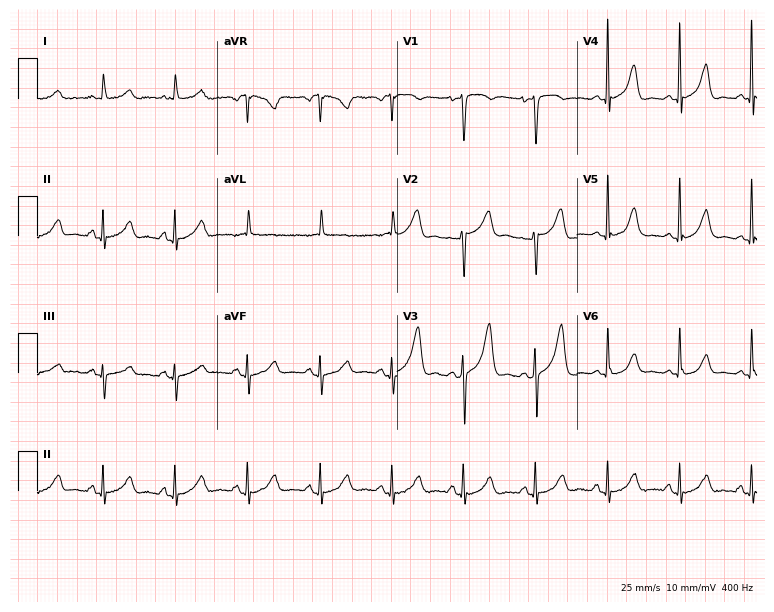
12-lead ECG (7.3-second recording at 400 Hz) from a 71-year-old female patient. Screened for six findings — first-degree AV block, right bundle branch block, left bundle branch block, sinus bradycardia, atrial fibrillation, sinus tachycardia — none is recorded. Only these six findings were labelled.